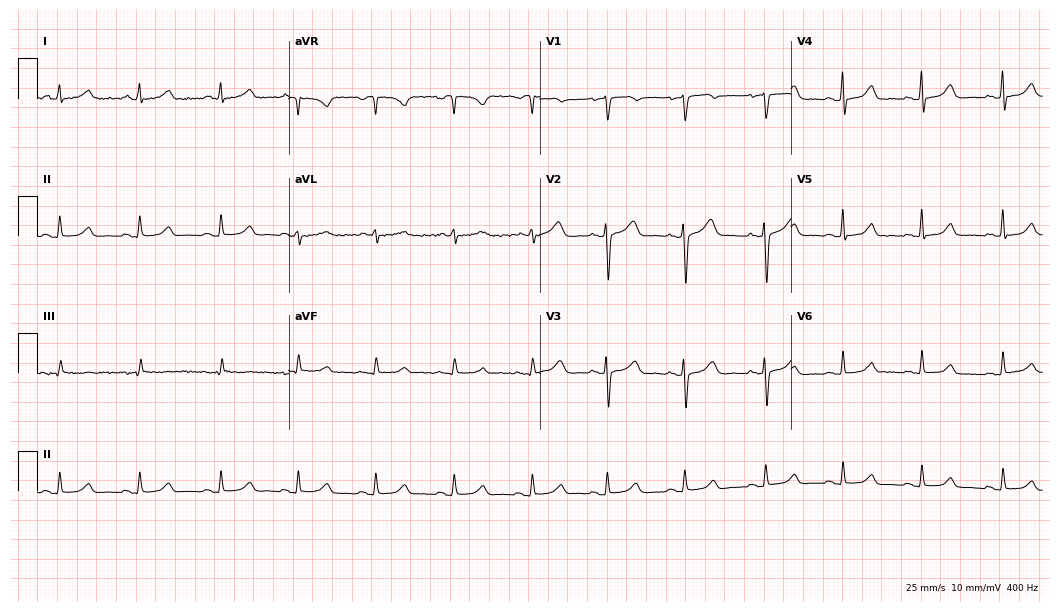
ECG (10.2-second recording at 400 Hz) — a 48-year-old woman. Labelled as a normal ECG.